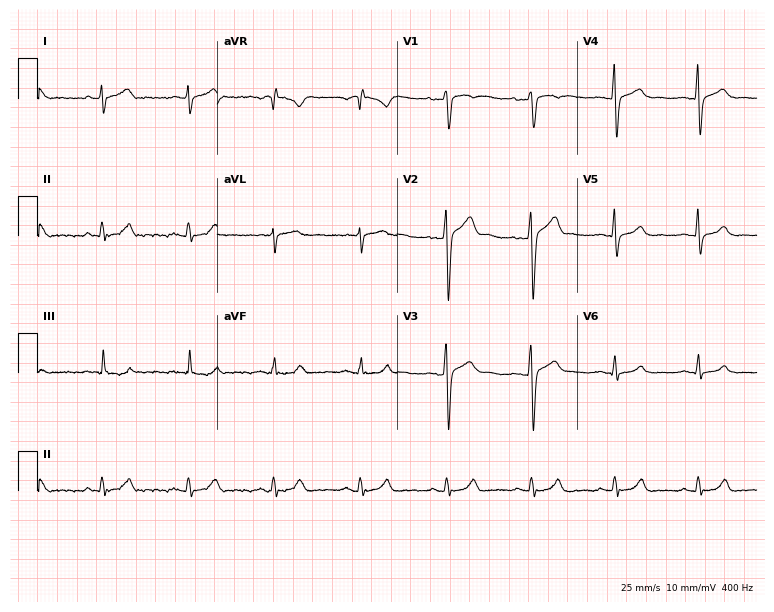
12-lead ECG from a 34-year-old male. Recorded interpretation: within normal limits.